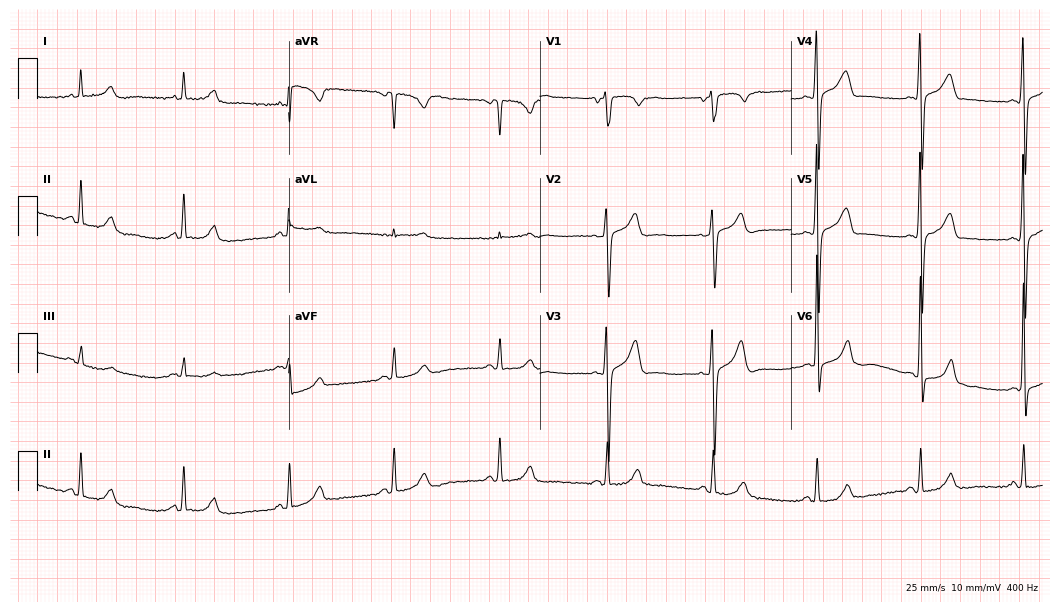
Electrocardiogram (10.2-second recording at 400 Hz), a male, 65 years old. Overall reading on record: normal ECG.